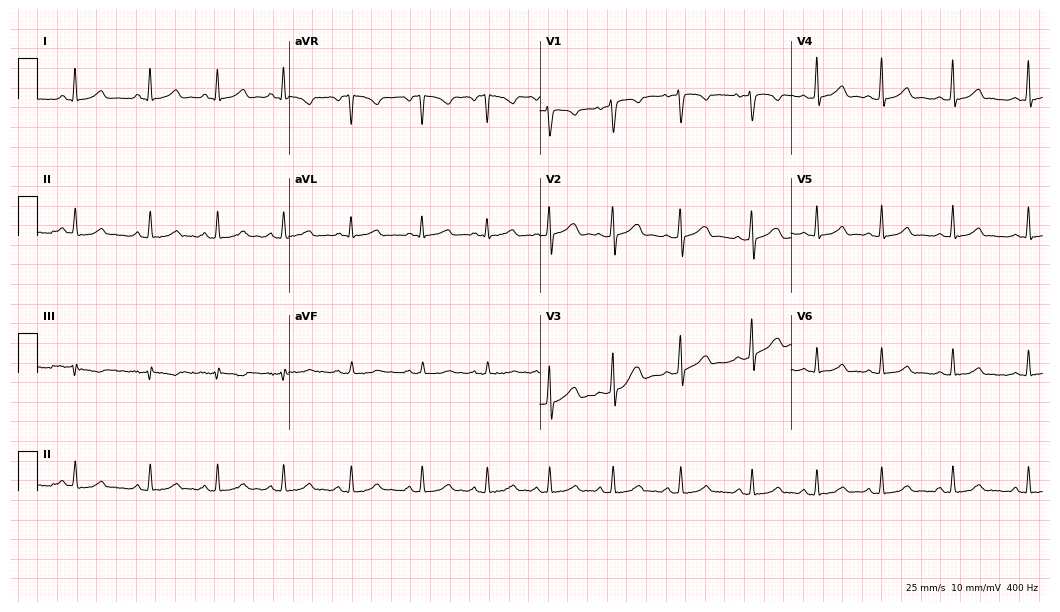
Standard 12-lead ECG recorded from a woman, 24 years old (10.2-second recording at 400 Hz). Read as a normal ECG.